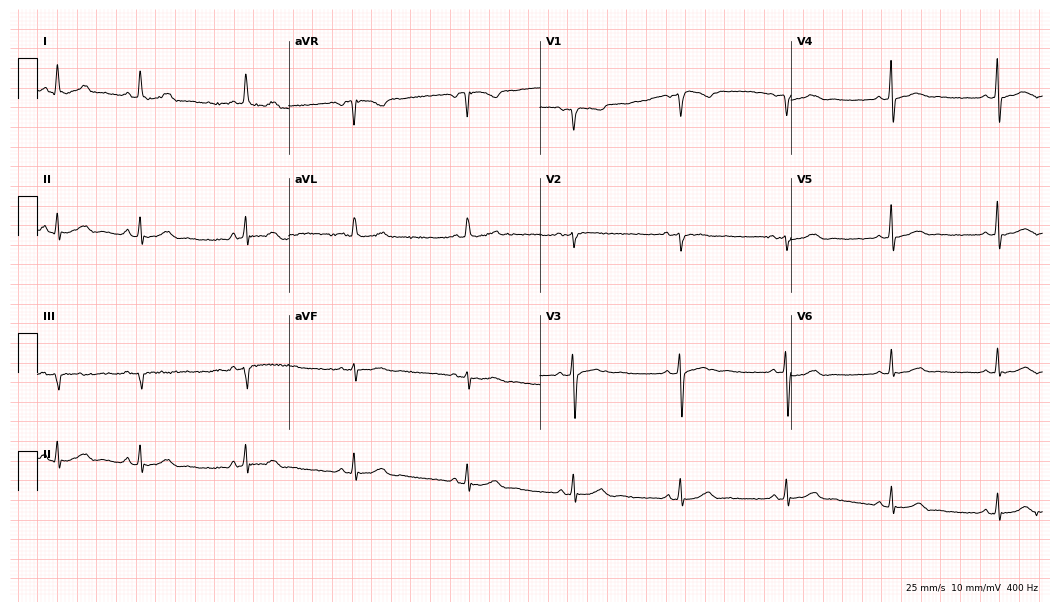
12-lead ECG from a 47-year-old female patient (10.2-second recording at 400 Hz). Recorded interpretation: within normal limits.